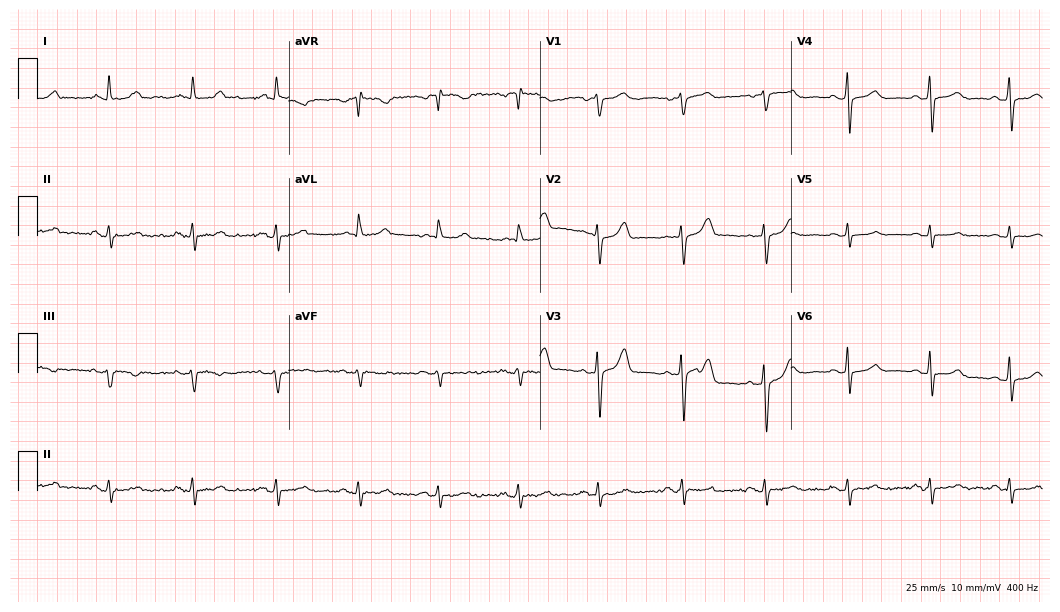
ECG — a 65-year-old female patient. Labelled as a normal ECG.